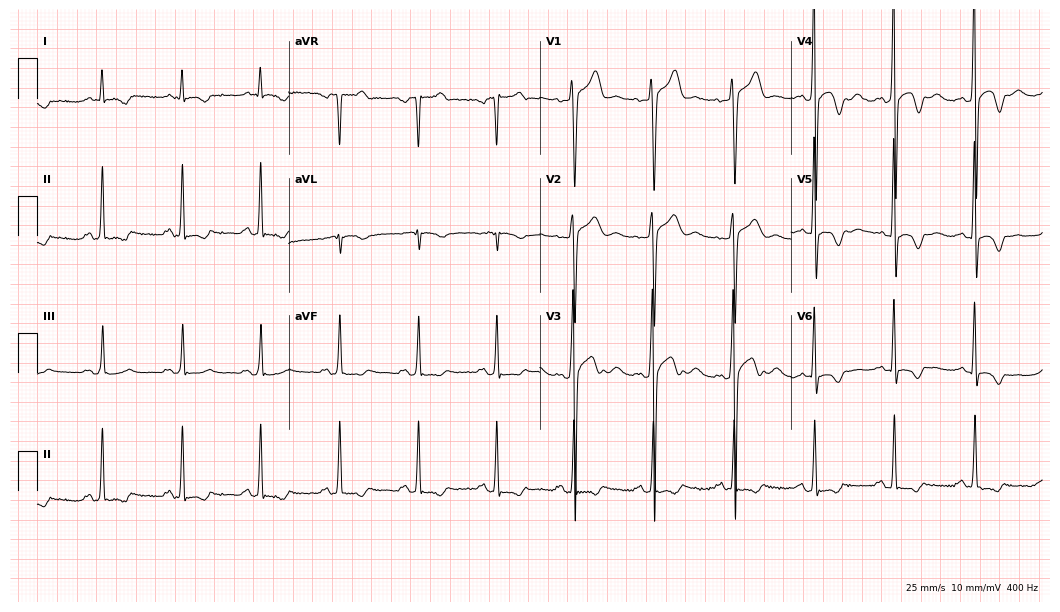
12-lead ECG (10.2-second recording at 400 Hz) from a 37-year-old man. Screened for six findings — first-degree AV block, right bundle branch block, left bundle branch block, sinus bradycardia, atrial fibrillation, sinus tachycardia — none is recorded. Other findings, if any, are not listed.